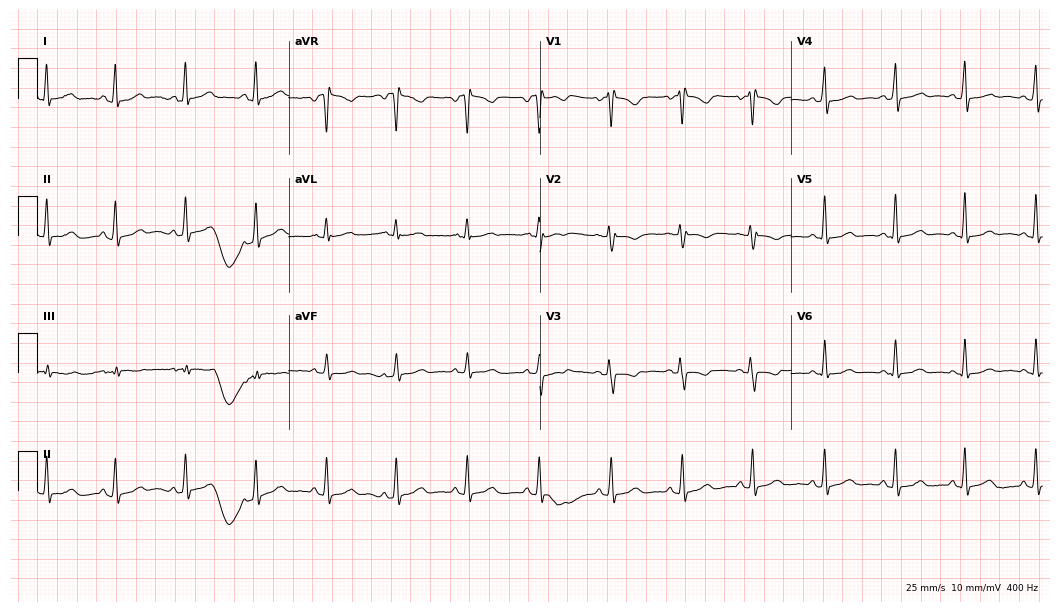
Standard 12-lead ECG recorded from a female patient, 41 years old (10.2-second recording at 400 Hz). None of these six findings is recorded: first-degree AV block, right bundle branch block (RBBB), left bundle branch block (LBBB), sinus bradycardia, atrial fibrillation (AF), sinus tachycardia.